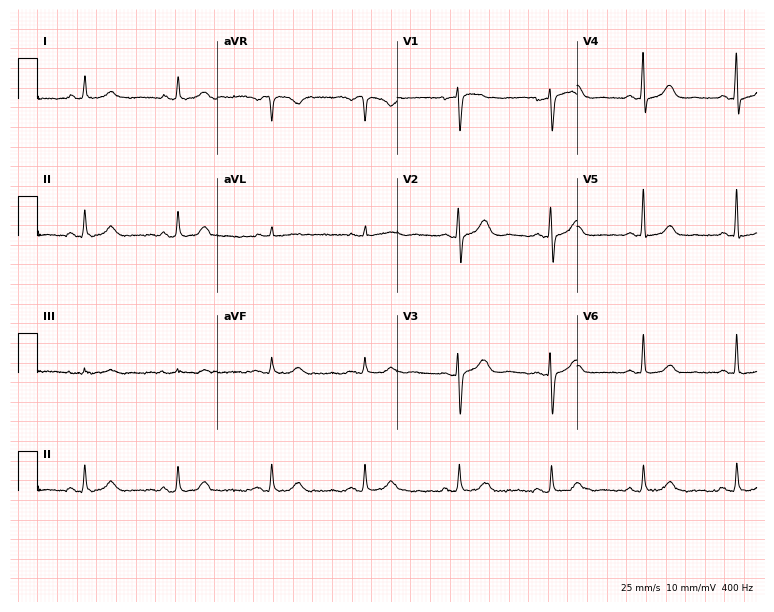
12-lead ECG (7.3-second recording at 400 Hz) from a female, 70 years old. Labelled as a normal ECG.